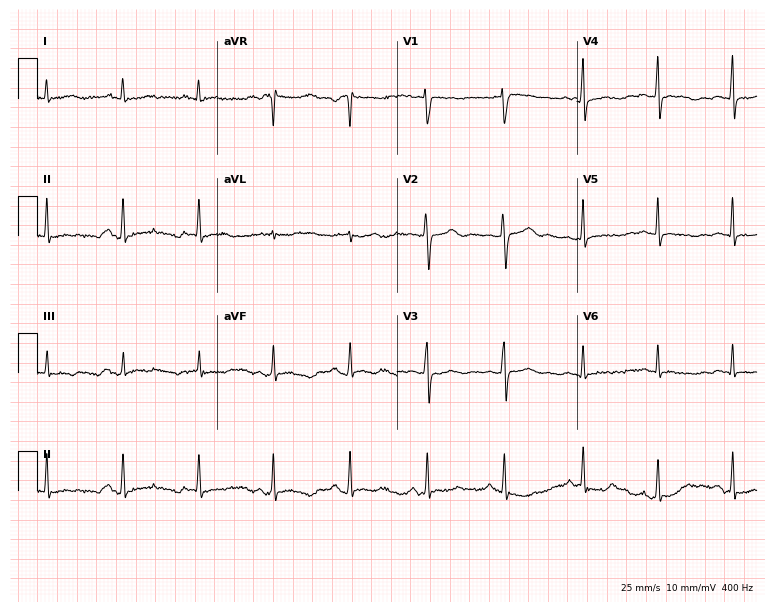
ECG (7.3-second recording at 400 Hz) — a woman, 33 years old. Screened for six findings — first-degree AV block, right bundle branch block (RBBB), left bundle branch block (LBBB), sinus bradycardia, atrial fibrillation (AF), sinus tachycardia — none is recorded. Only these six findings were labelled.